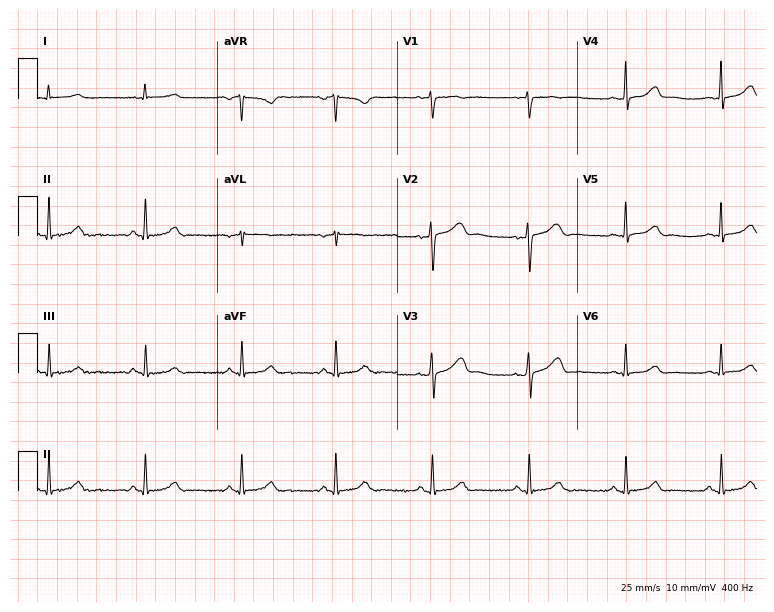
Standard 12-lead ECG recorded from a woman, 28 years old (7.3-second recording at 400 Hz). Read as a normal ECG.